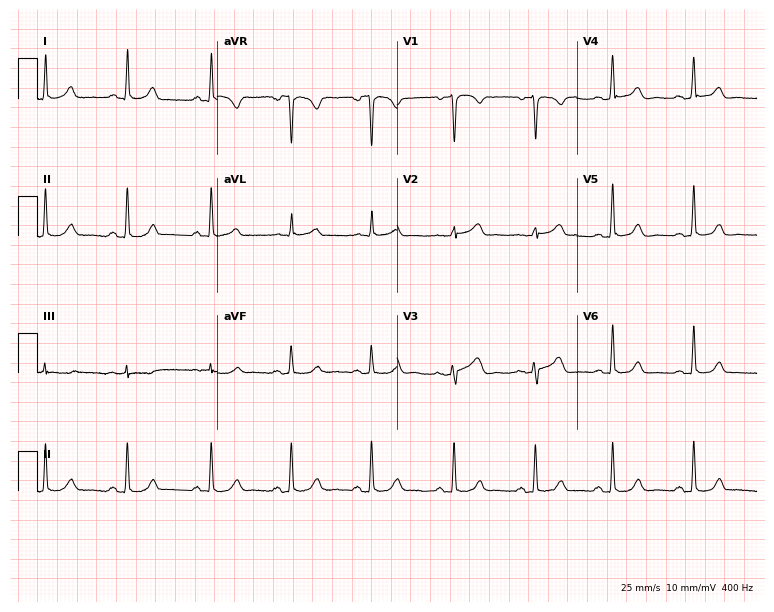
Electrocardiogram, a 32-year-old female. Overall reading on record: normal ECG.